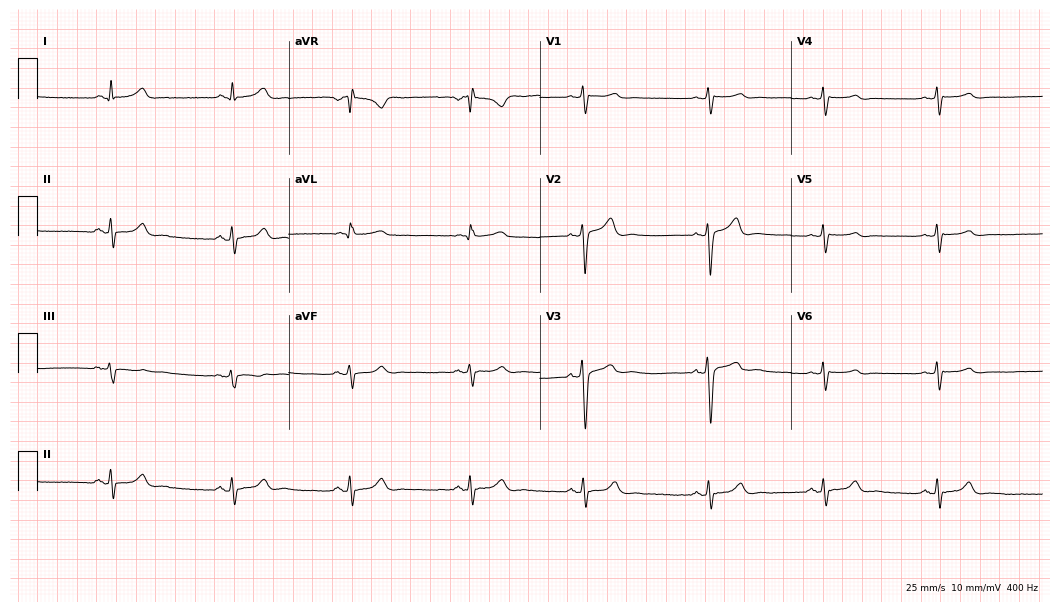
Resting 12-lead electrocardiogram (10.2-second recording at 400 Hz). Patient: a man, 34 years old. Read as a normal ECG.